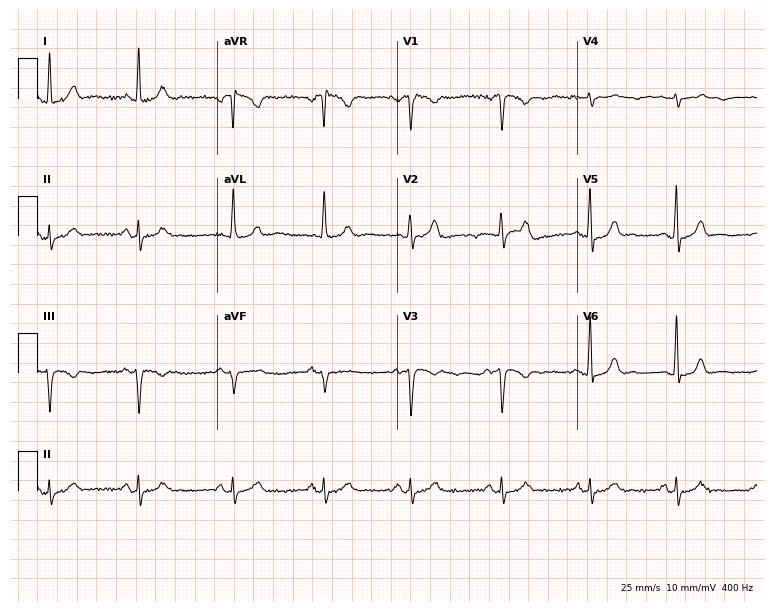
ECG — a woman, 40 years old. Labelled as a normal ECG.